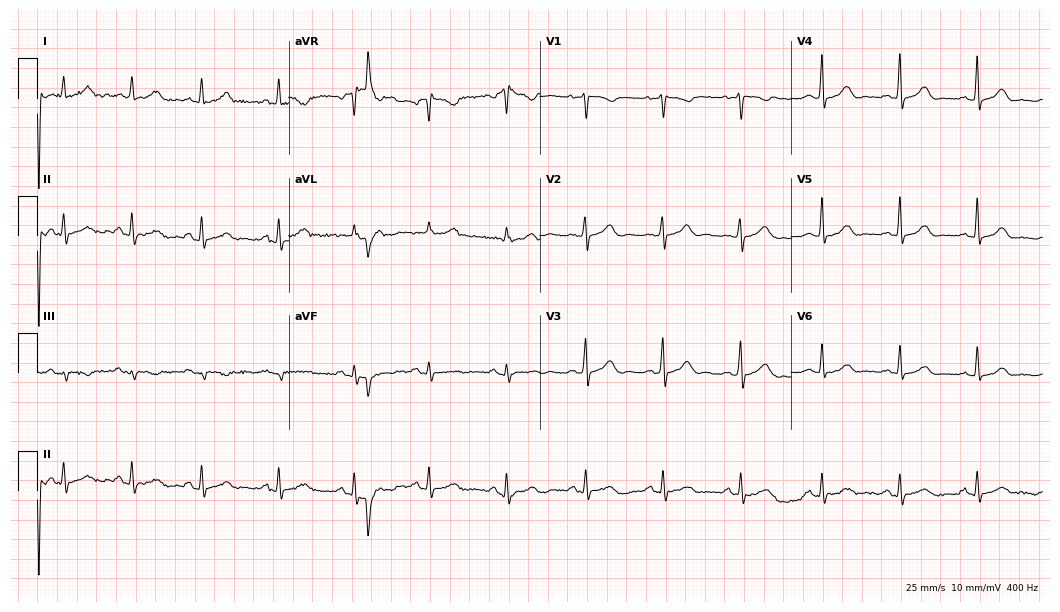
Resting 12-lead electrocardiogram (10.2-second recording at 400 Hz). Patient: a 23-year-old woman. Read as a normal ECG.